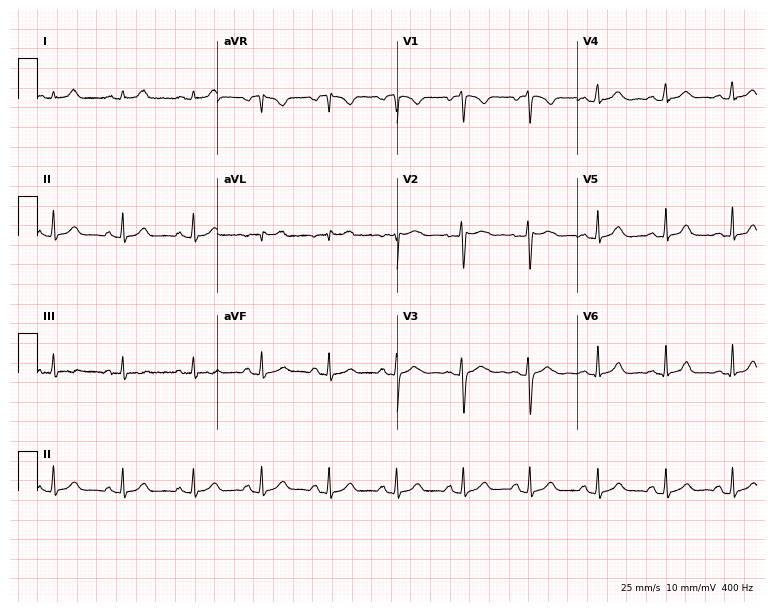
12-lead ECG from a 27-year-old woman (7.3-second recording at 400 Hz). Recorded interpretation: within normal limits.